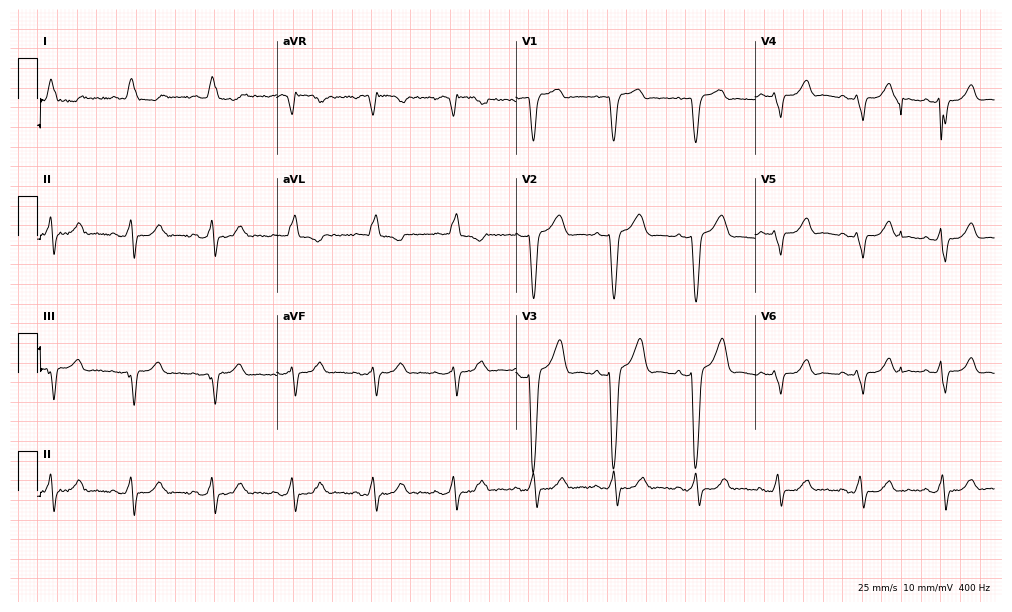
12-lead ECG from a 78-year-old female patient. Shows left bundle branch block.